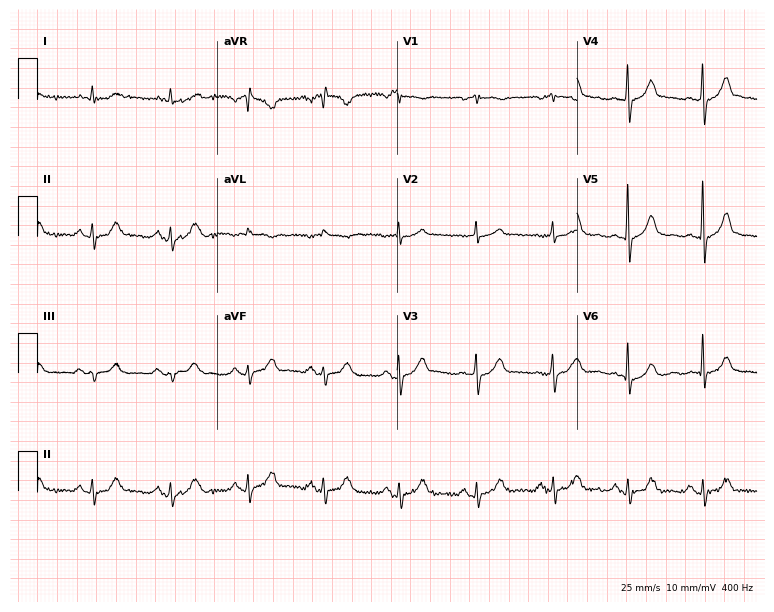
Standard 12-lead ECG recorded from a 70-year-old man. Read as a normal ECG.